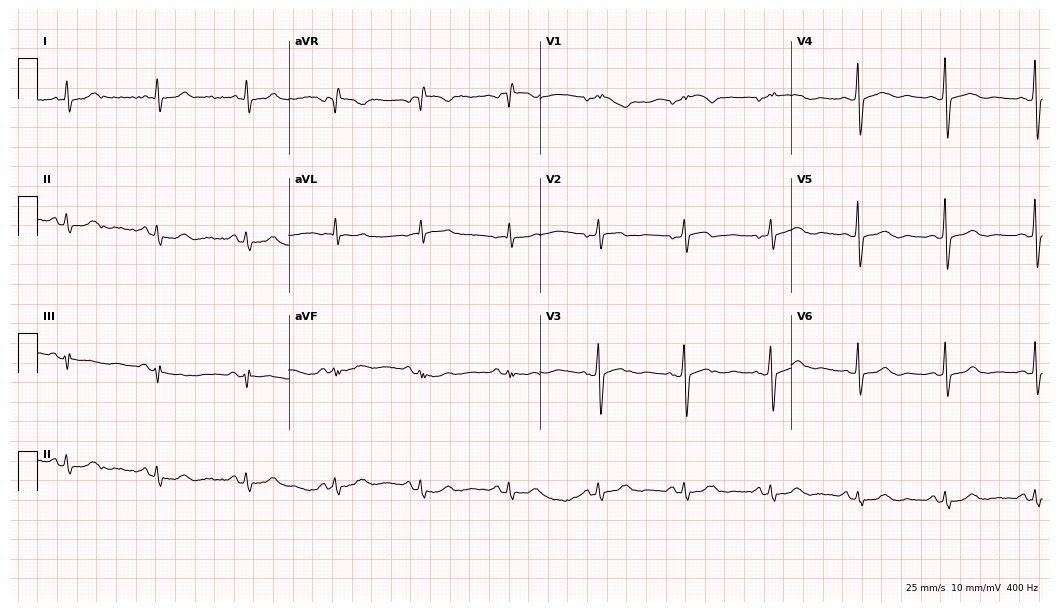
Electrocardiogram, a female patient, 64 years old. Of the six screened findings (first-degree AV block, right bundle branch block, left bundle branch block, sinus bradycardia, atrial fibrillation, sinus tachycardia), none is recorded.